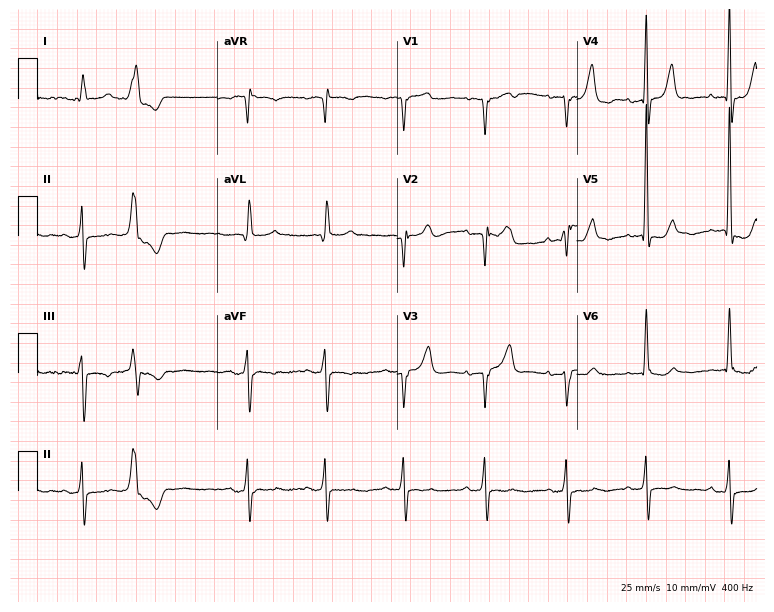
Standard 12-lead ECG recorded from a 78-year-old male (7.3-second recording at 400 Hz). None of these six findings is recorded: first-degree AV block, right bundle branch block (RBBB), left bundle branch block (LBBB), sinus bradycardia, atrial fibrillation (AF), sinus tachycardia. Other findings, if any, are not listed.